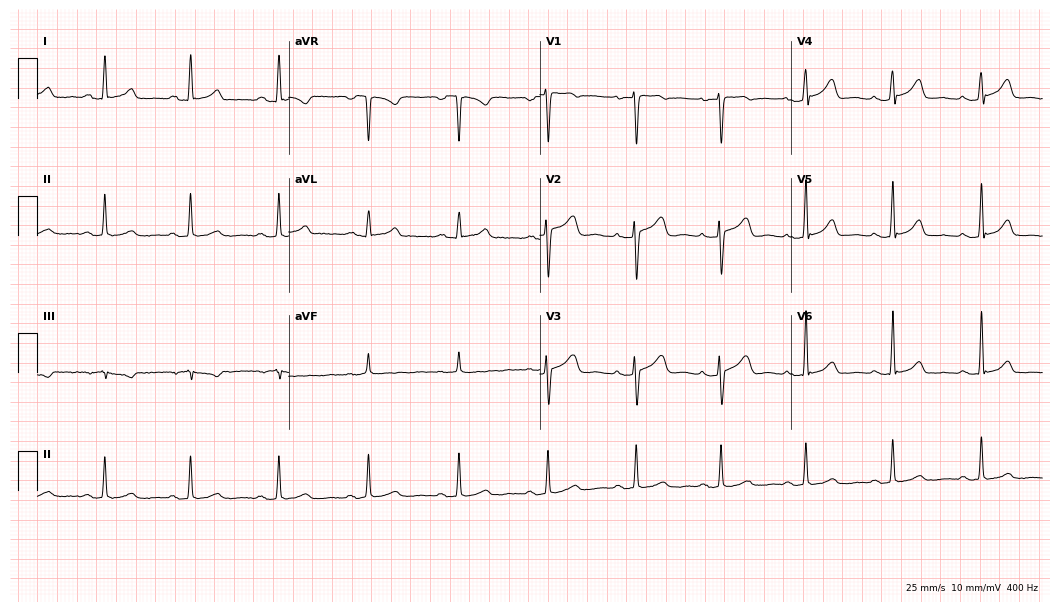
ECG — a female patient, 41 years old. Screened for six findings — first-degree AV block, right bundle branch block, left bundle branch block, sinus bradycardia, atrial fibrillation, sinus tachycardia — none is recorded.